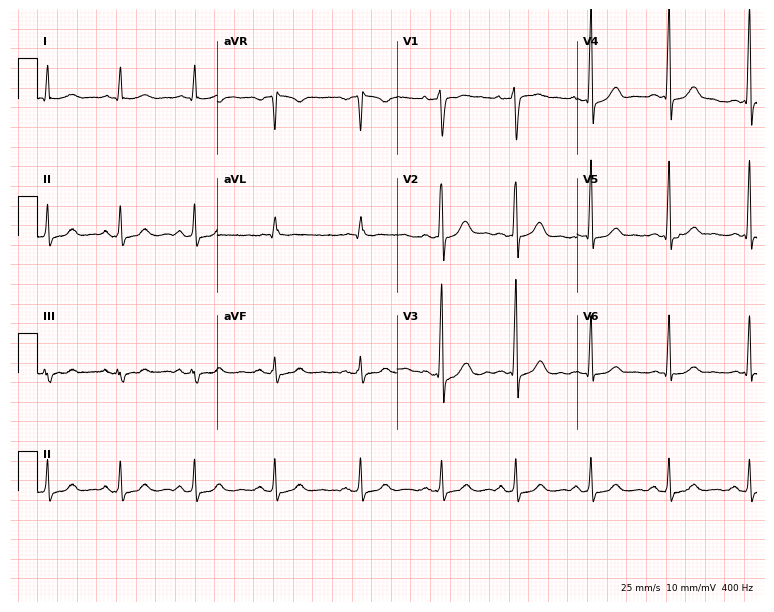
Electrocardiogram, a man, 42 years old. Of the six screened findings (first-degree AV block, right bundle branch block (RBBB), left bundle branch block (LBBB), sinus bradycardia, atrial fibrillation (AF), sinus tachycardia), none is recorded.